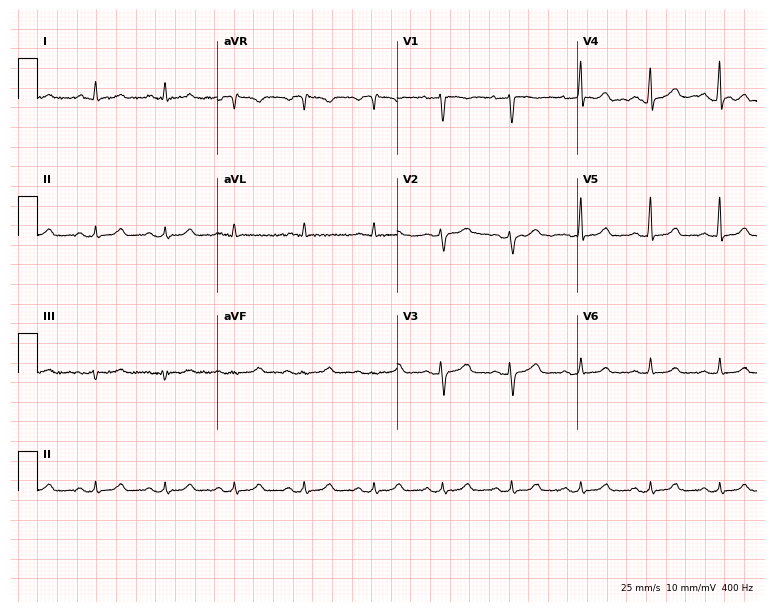
Resting 12-lead electrocardiogram. Patient: a female, 51 years old. None of these six findings is recorded: first-degree AV block, right bundle branch block, left bundle branch block, sinus bradycardia, atrial fibrillation, sinus tachycardia. Only these six findings were labelled.